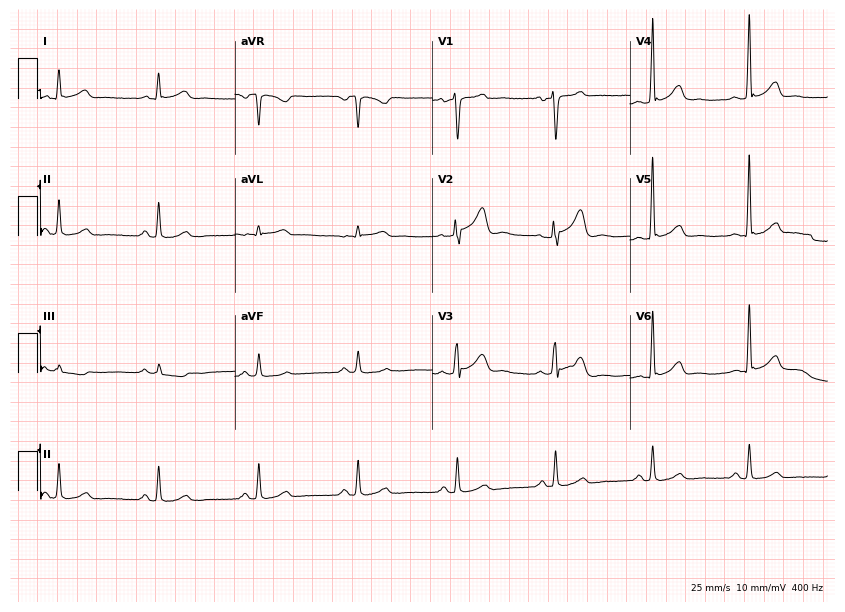
Electrocardiogram, a man, 59 years old. Of the six screened findings (first-degree AV block, right bundle branch block, left bundle branch block, sinus bradycardia, atrial fibrillation, sinus tachycardia), none is recorded. Other findings, if any, are not listed.